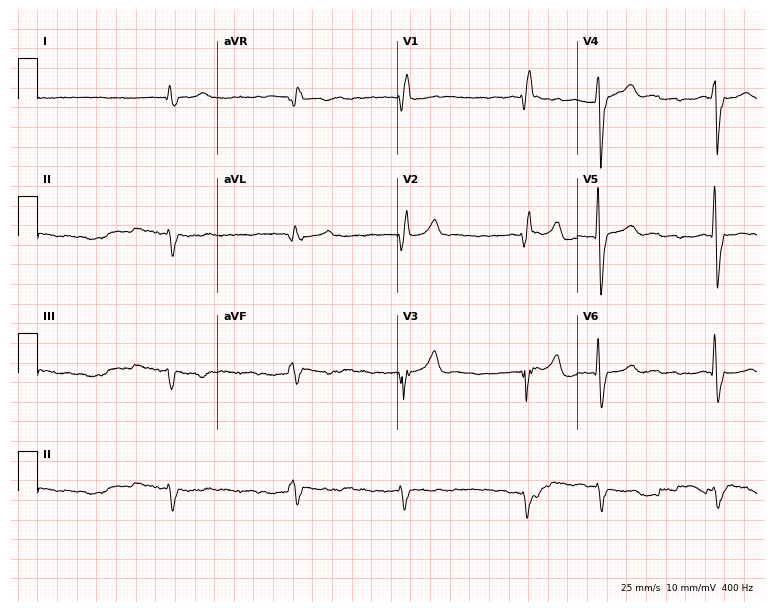
ECG — a male, 79 years old. Findings include right bundle branch block (RBBB), atrial fibrillation (AF).